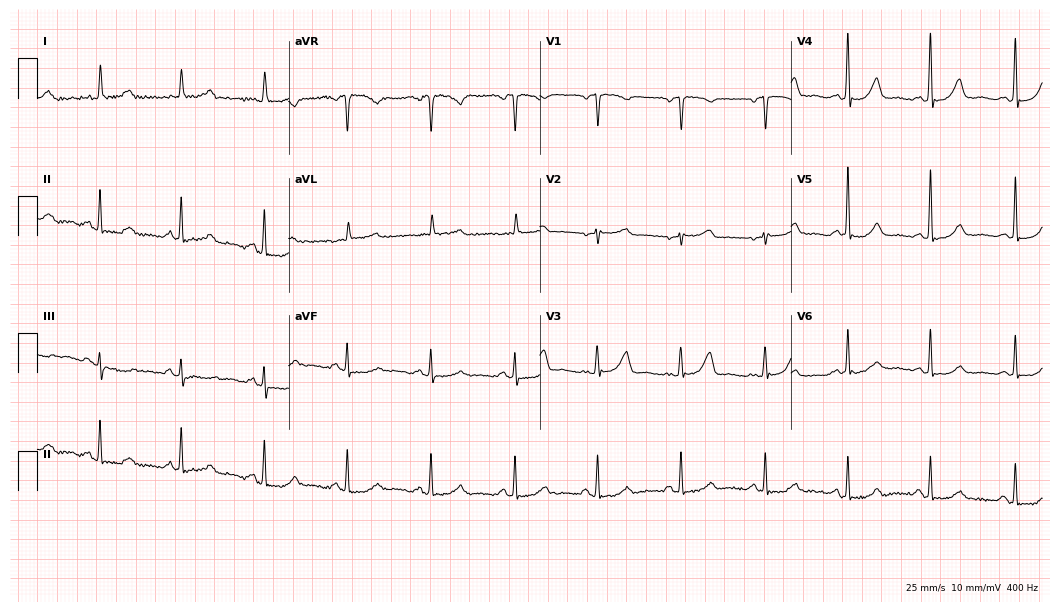
ECG — a female patient, 60 years old. Labelled as a normal ECG.